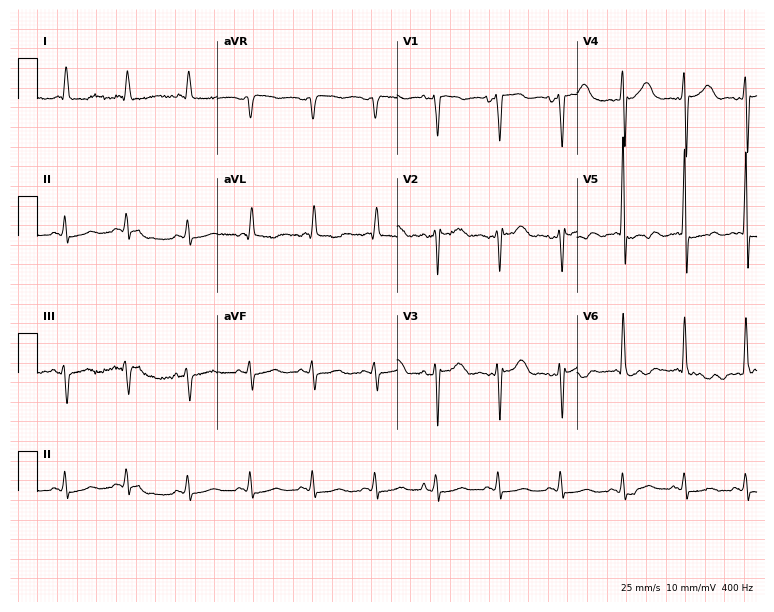
12-lead ECG from a 60-year-old male (7.3-second recording at 400 Hz). No first-degree AV block, right bundle branch block, left bundle branch block, sinus bradycardia, atrial fibrillation or sinus tachycardia recorded for this tracing. Findings outside these six are not listed.